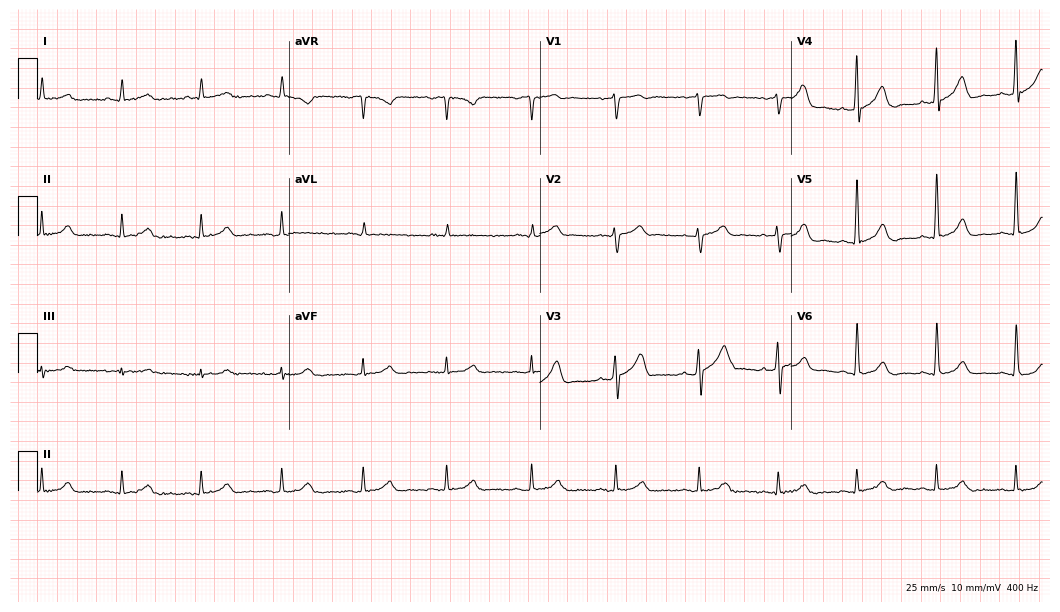
12-lead ECG from a male, 62 years old. Recorded interpretation: within normal limits.